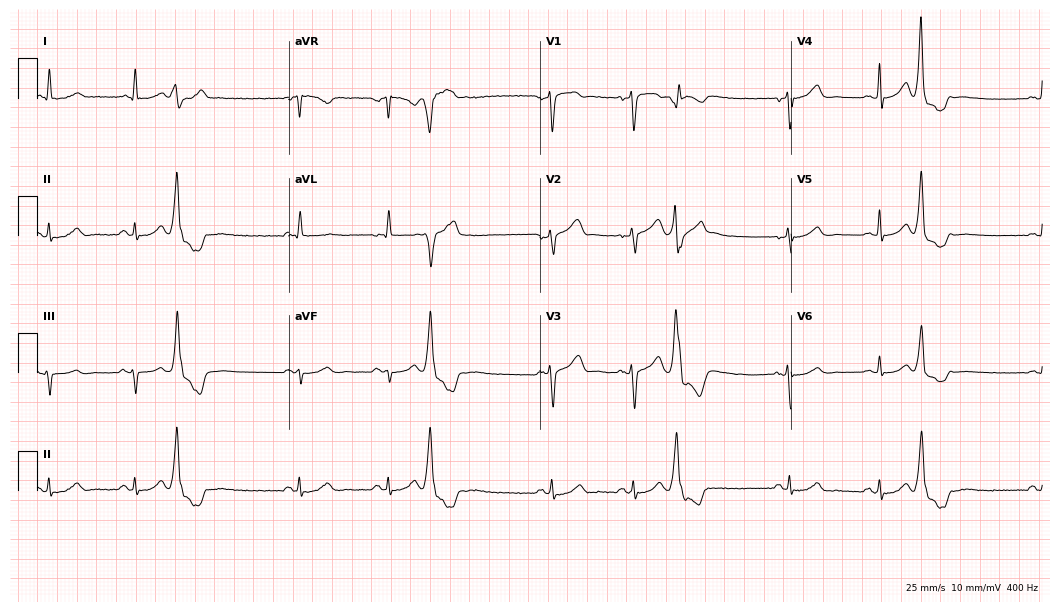
ECG — a 30-year-old male. Labelled as a normal ECG.